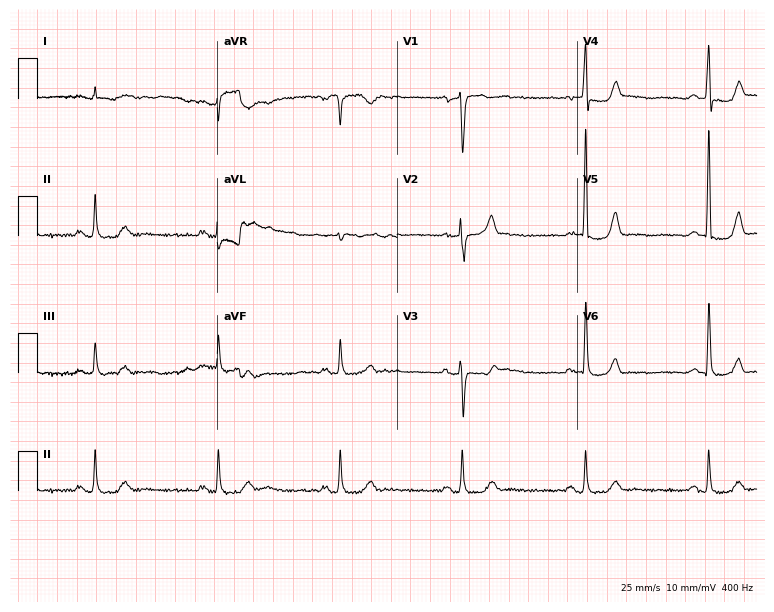
ECG — a 72-year-old male. Screened for six findings — first-degree AV block, right bundle branch block, left bundle branch block, sinus bradycardia, atrial fibrillation, sinus tachycardia — none is recorded.